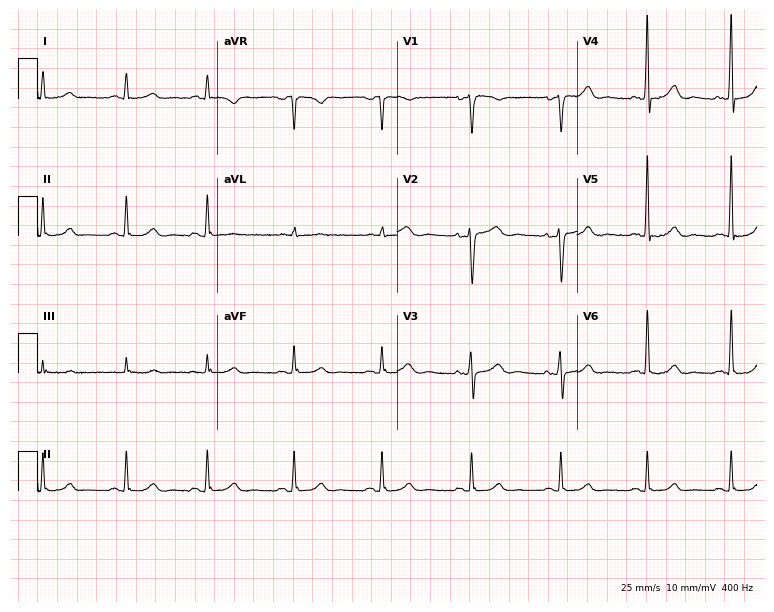
ECG (7.3-second recording at 400 Hz) — a 58-year-old woman. Labelled as a normal ECG.